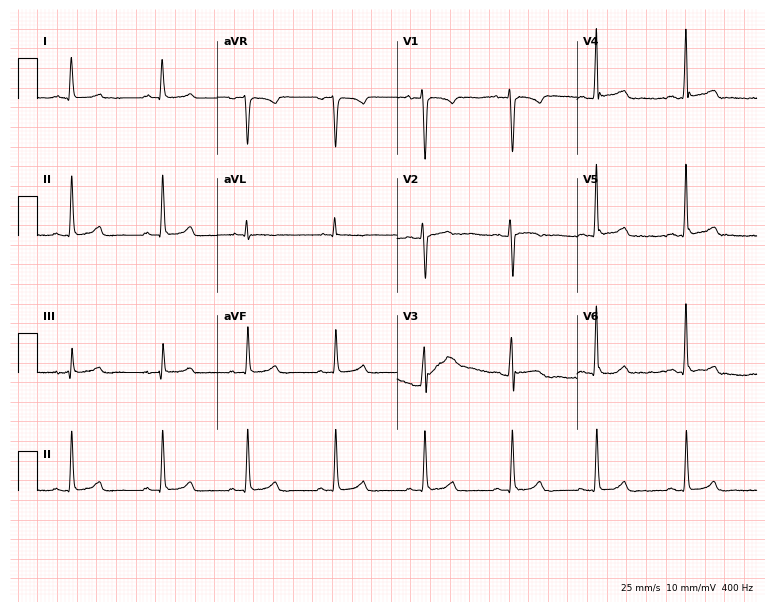
Resting 12-lead electrocardiogram. Patient: a 29-year-old female. None of these six findings is recorded: first-degree AV block, right bundle branch block (RBBB), left bundle branch block (LBBB), sinus bradycardia, atrial fibrillation (AF), sinus tachycardia. Only these six findings were labelled.